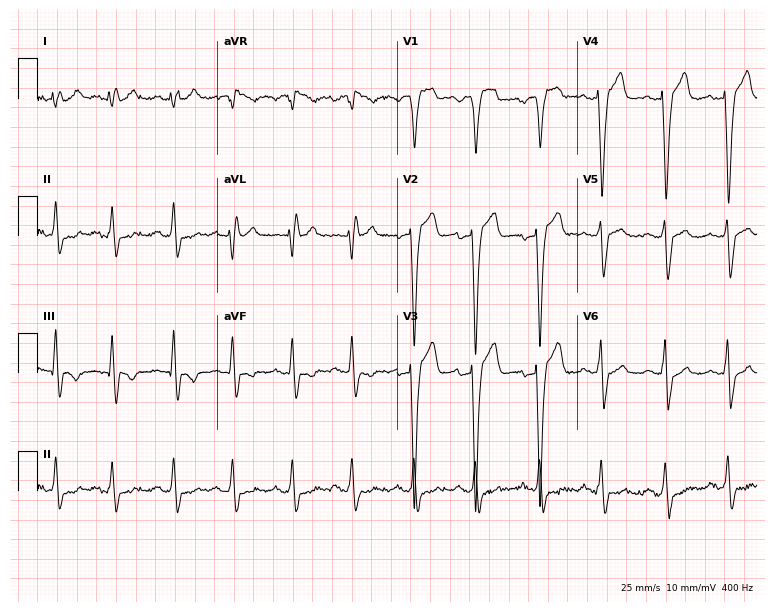
Standard 12-lead ECG recorded from a male, 72 years old. None of these six findings is recorded: first-degree AV block, right bundle branch block, left bundle branch block, sinus bradycardia, atrial fibrillation, sinus tachycardia.